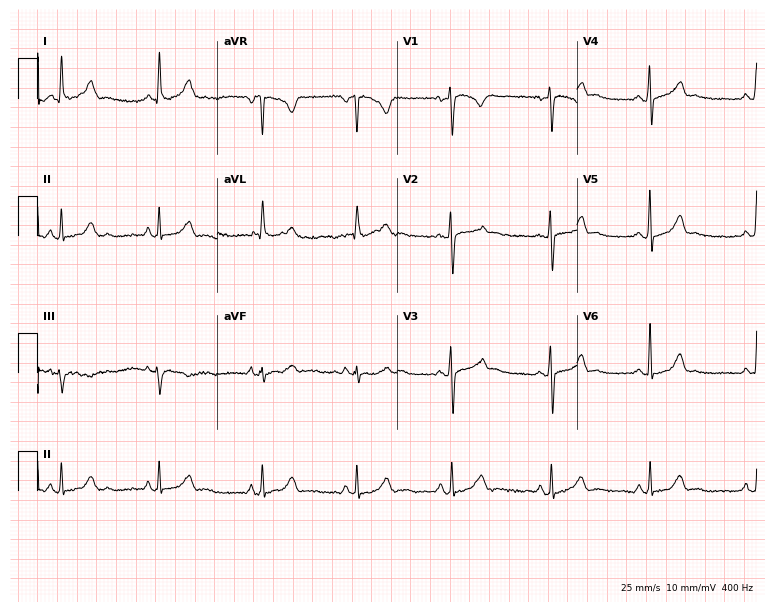
Standard 12-lead ECG recorded from a woman, 21 years old (7.3-second recording at 400 Hz). Read as a normal ECG.